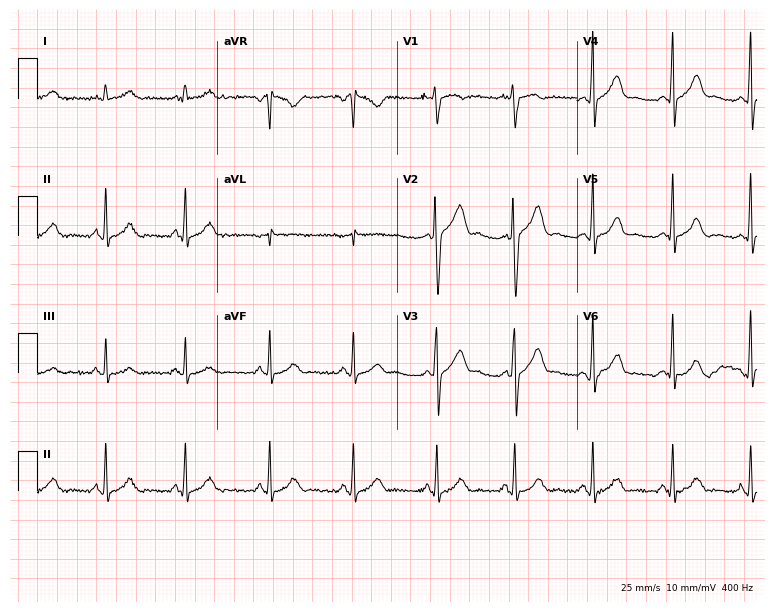
12-lead ECG from a 22-year-old female. Labelled as a normal ECG.